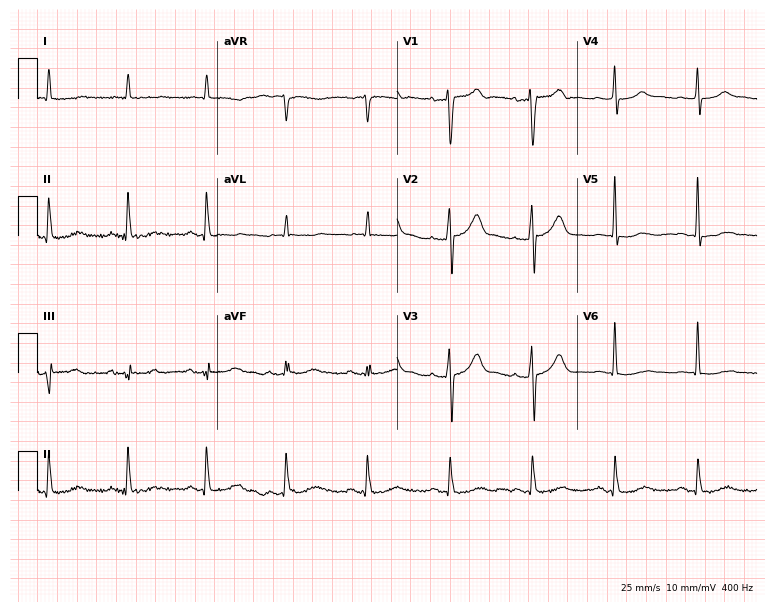
Resting 12-lead electrocardiogram. Patient: a 76-year-old male. None of these six findings is recorded: first-degree AV block, right bundle branch block (RBBB), left bundle branch block (LBBB), sinus bradycardia, atrial fibrillation (AF), sinus tachycardia.